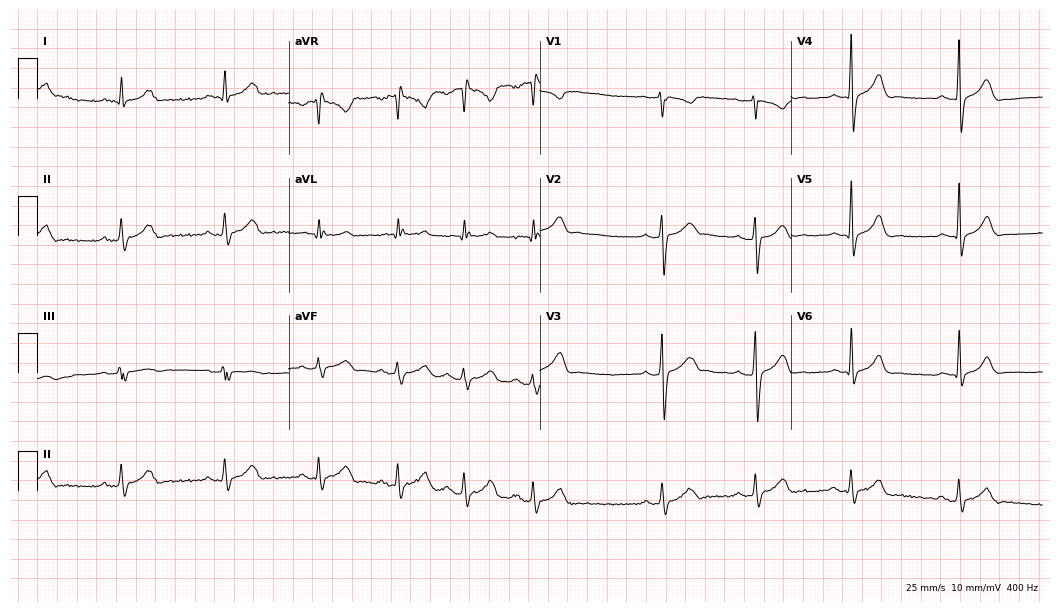
Electrocardiogram, a 24-year-old male. Overall reading on record: normal ECG.